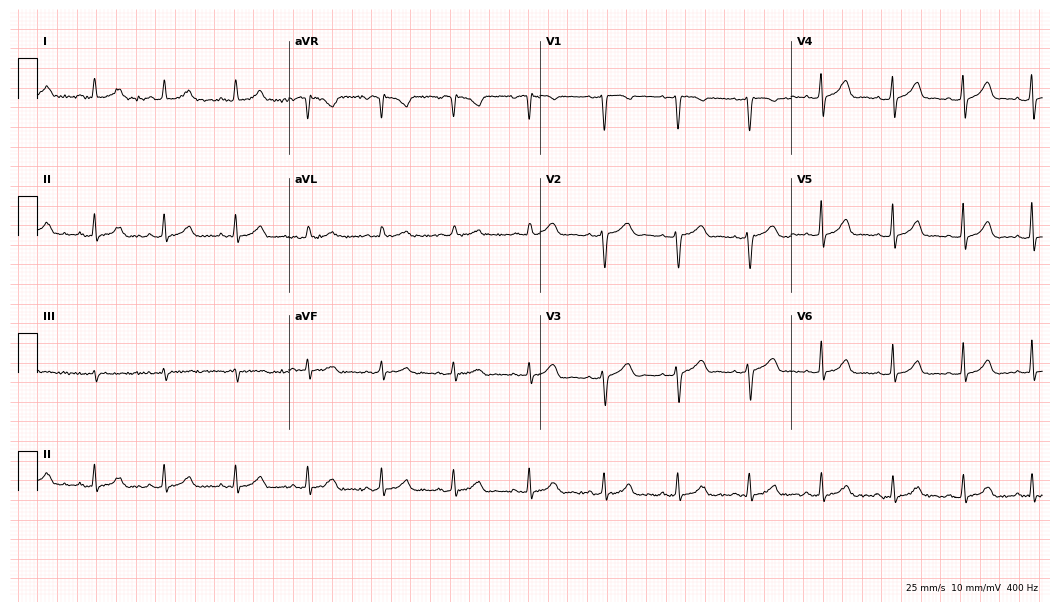
Resting 12-lead electrocardiogram (10.2-second recording at 400 Hz). Patient: a 49-year-old female. Read as a normal ECG.